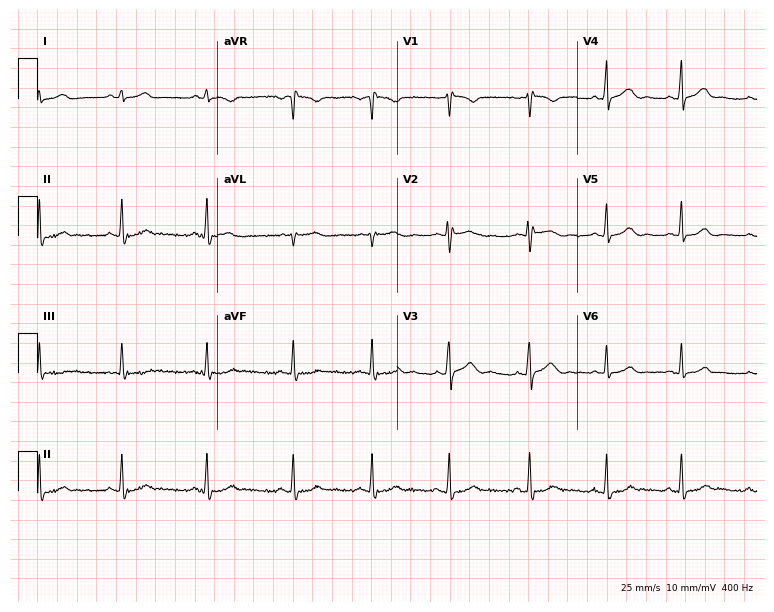
12-lead ECG from a 17-year-old woman. Labelled as a normal ECG.